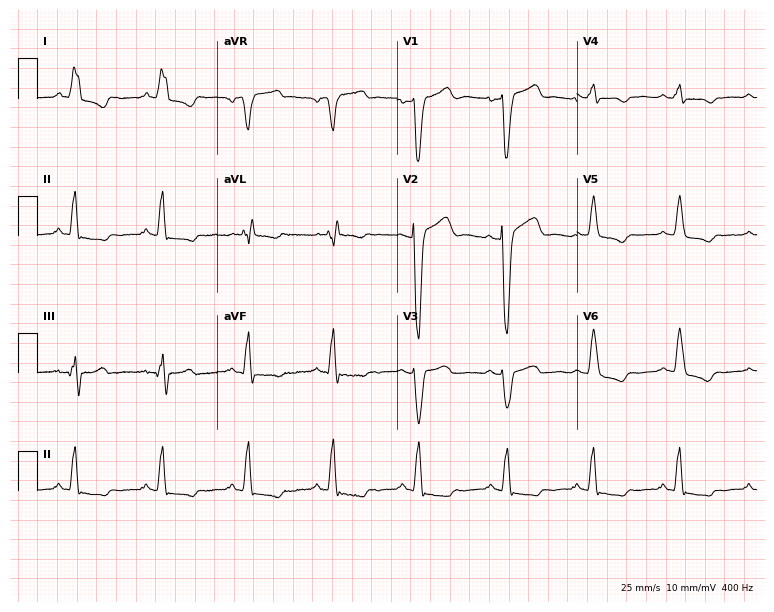
12-lead ECG from a female patient, 65 years old. Findings include left bundle branch block (LBBB).